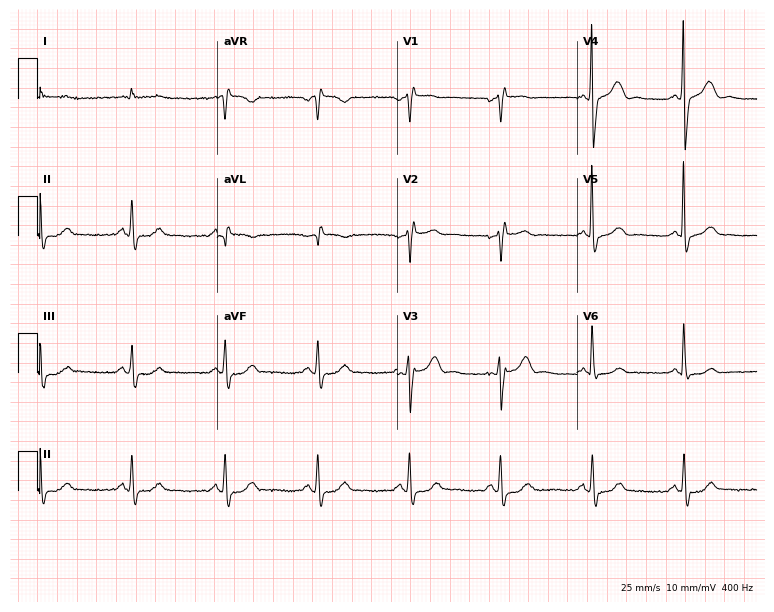
12-lead ECG from a male patient, 84 years old. No first-degree AV block, right bundle branch block (RBBB), left bundle branch block (LBBB), sinus bradycardia, atrial fibrillation (AF) or sinus tachycardia recorded for this tracing.